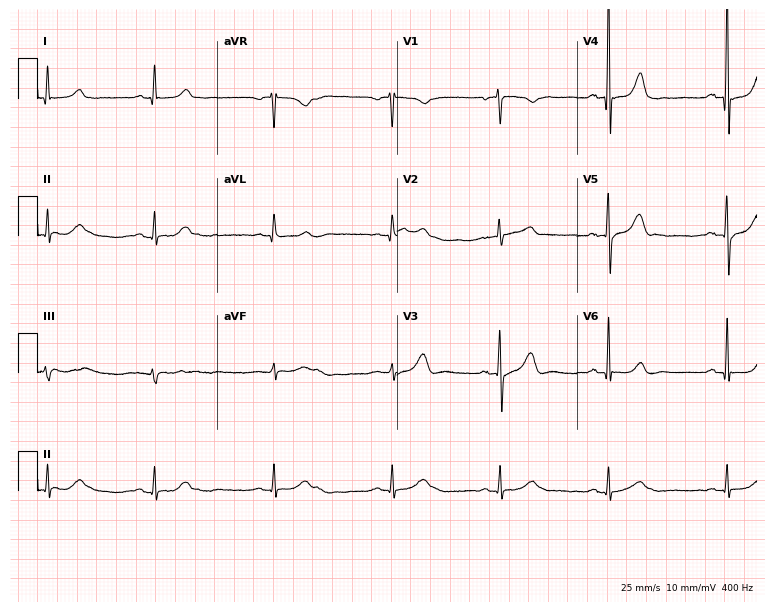
12-lead ECG from a 44-year-old female. Screened for six findings — first-degree AV block, right bundle branch block (RBBB), left bundle branch block (LBBB), sinus bradycardia, atrial fibrillation (AF), sinus tachycardia — none is recorded.